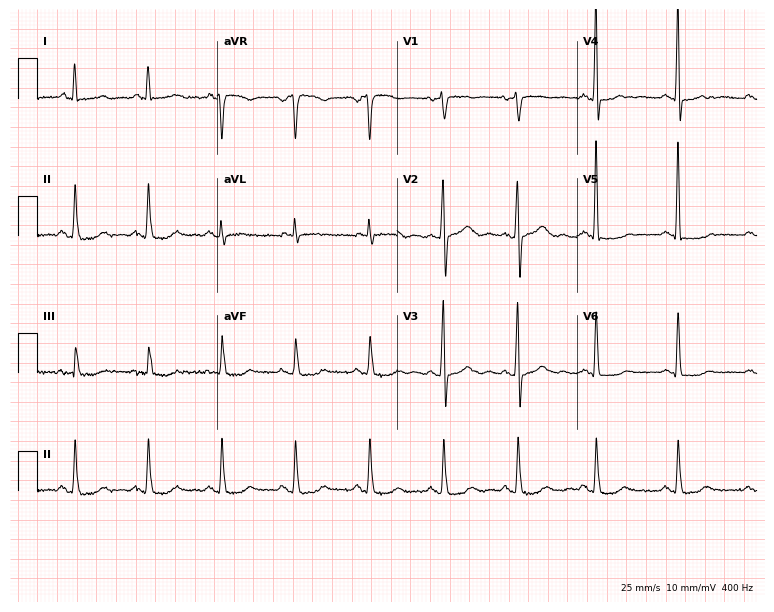
12-lead ECG from a 61-year-old woman. Screened for six findings — first-degree AV block, right bundle branch block, left bundle branch block, sinus bradycardia, atrial fibrillation, sinus tachycardia — none is recorded.